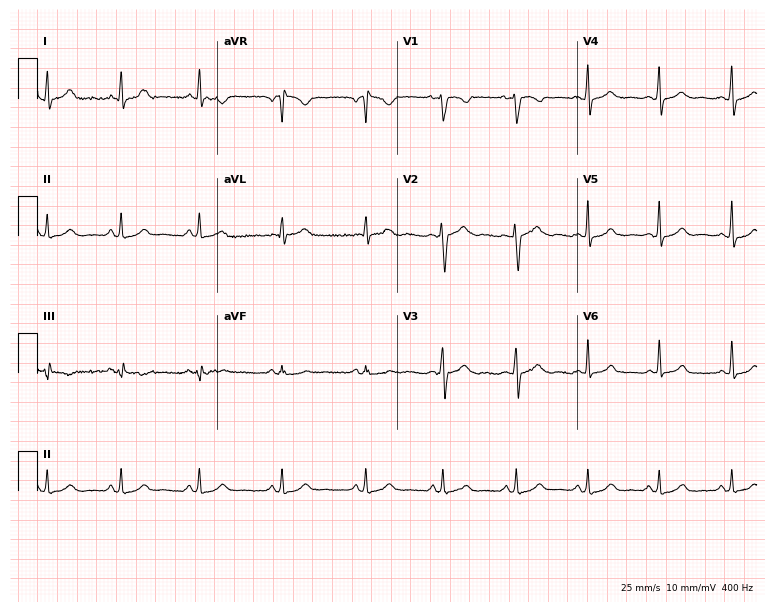
Resting 12-lead electrocardiogram. Patient: a female, 41 years old. Read as a normal ECG.